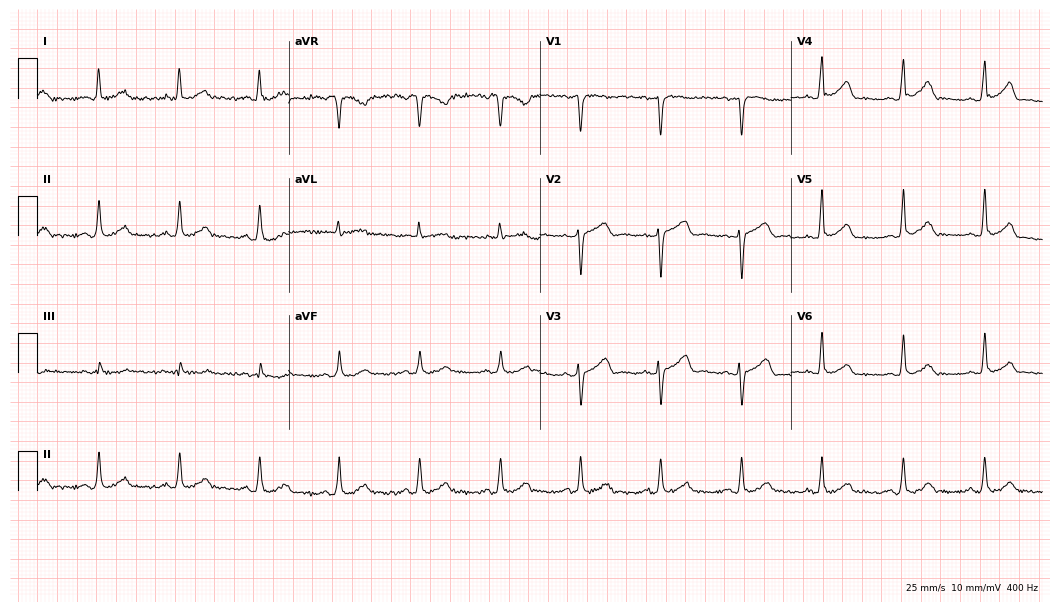
12-lead ECG from a female, 55 years old. Recorded interpretation: within normal limits.